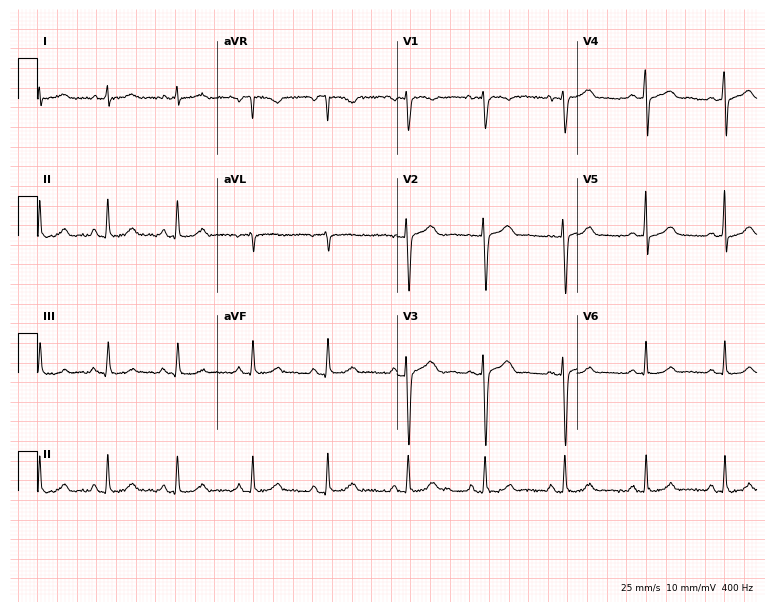
Electrocardiogram (7.3-second recording at 400 Hz), a 32-year-old female patient. Overall reading on record: normal ECG.